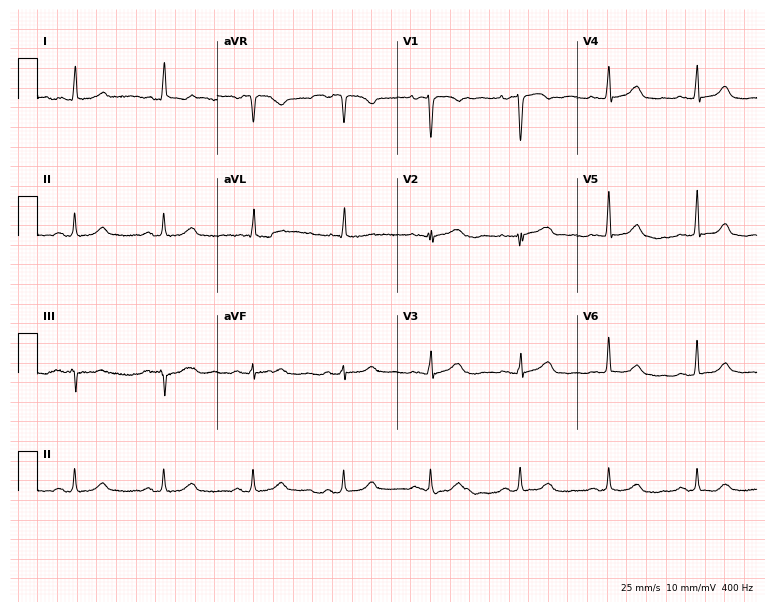
12-lead ECG from a female, 83 years old. Recorded interpretation: within normal limits.